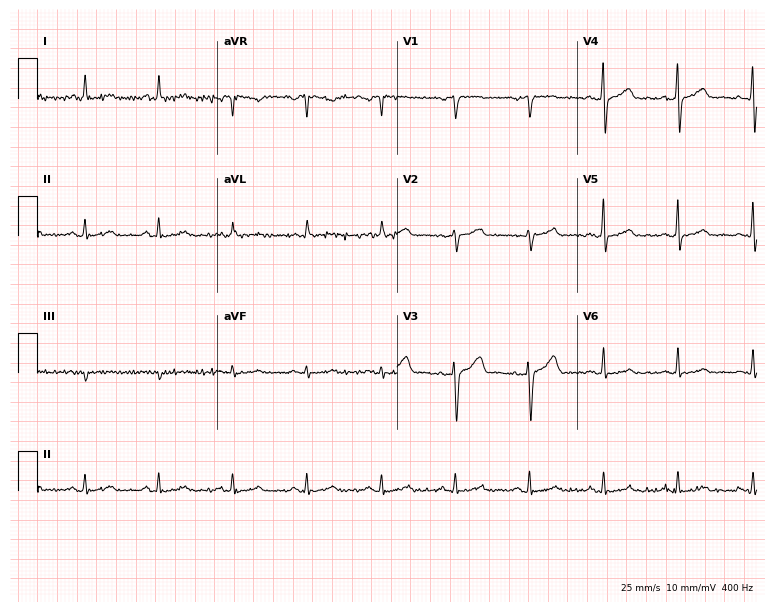
Resting 12-lead electrocardiogram. Patient: a woman, 53 years old. None of these six findings is recorded: first-degree AV block, right bundle branch block, left bundle branch block, sinus bradycardia, atrial fibrillation, sinus tachycardia.